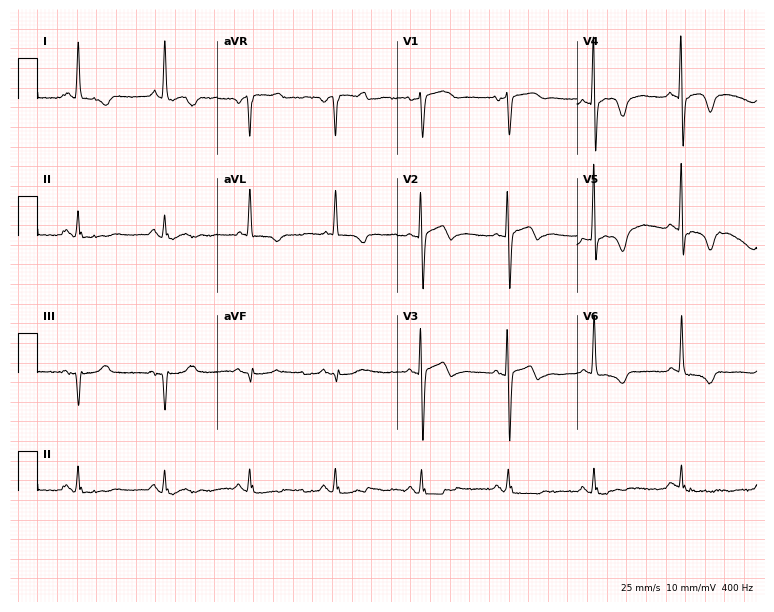
12-lead ECG from a 79-year-old female patient. No first-degree AV block, right bundle branch block, left bundle branch block, sinus bradycardia, atrial fibrillation or sinus tachycardia recorded for this tracing.